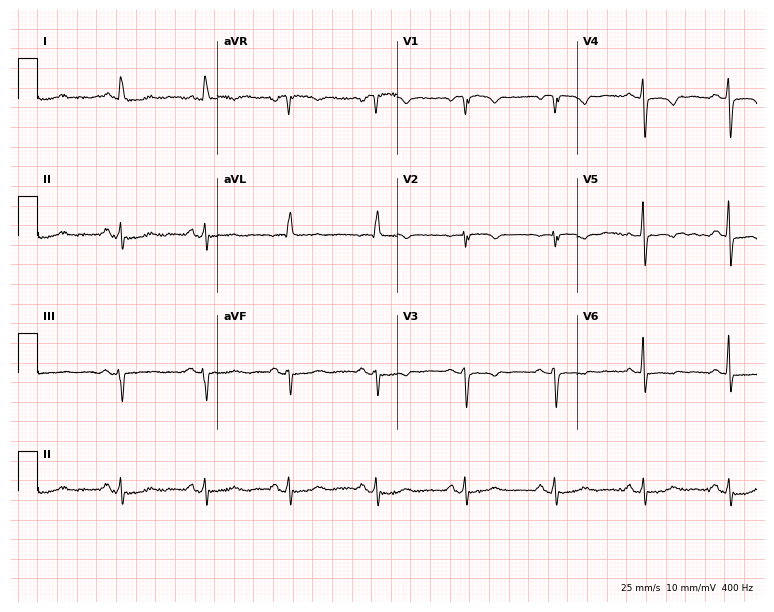
Resting 12-lead electrocardiogram. Patient: a woman, 75 years old. None of these six findings is recorded: first-degree AV block, right bundle branch block (RBBB), left bundle branch block (LBBB), sinus bradycardia, atrial fibrillation (AF), sinus tachycardia. Other findings, if any, are not listed.